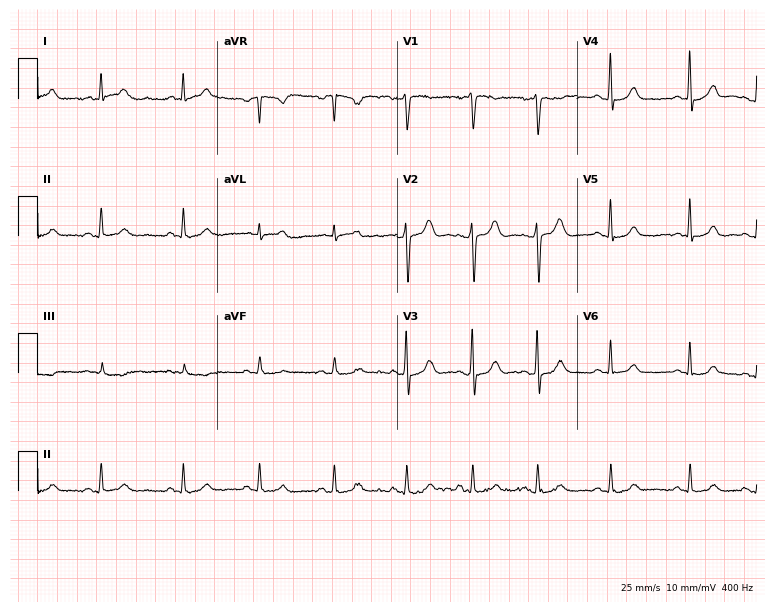
12-lead ECG (7.3-second recording at 400 Hz) from a 32-year-old woman. Labelled as a normal ECG.